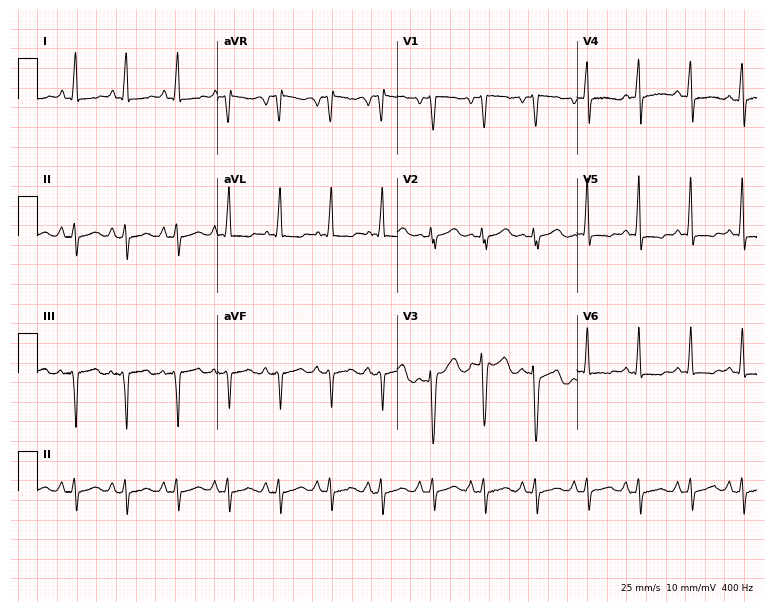
Electrocardiogram, a woman, 50 years old. Interpretation includes sinus tachycardia (a sinus rate of 100 beats per minute or more).